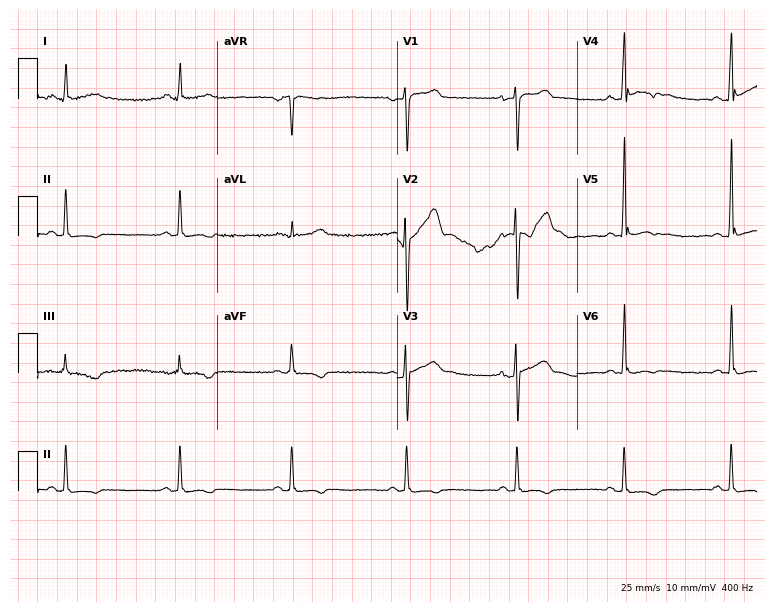
12-lead ECG from a 27-year-old woman. No first-degree AV block, right bundle branch block (RBBB), left bundle branch block (LBBB), sinus bradycardia, atrial fibrillation (AF) or sinus tachycardia recorded for this tracing. Findings outside these six are not listed.